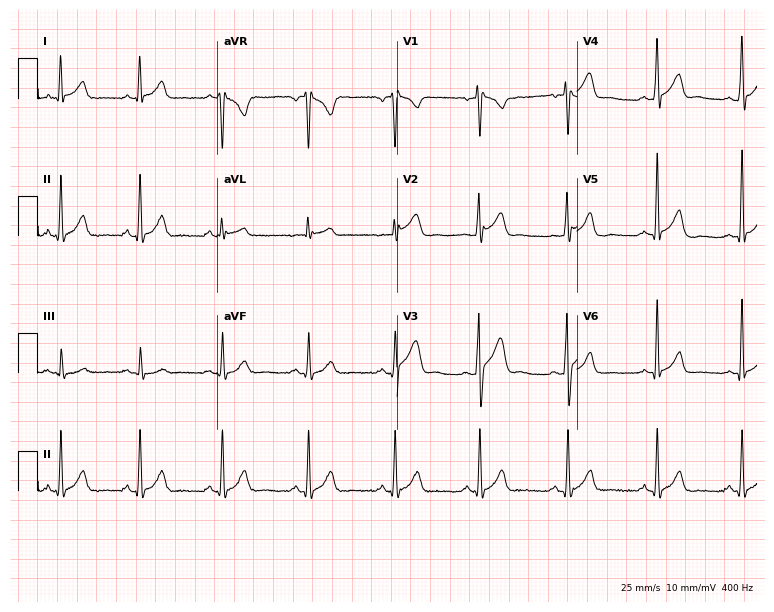
12-lead ECG from a male patient, 38 years old. Labelled as a normal ECG.